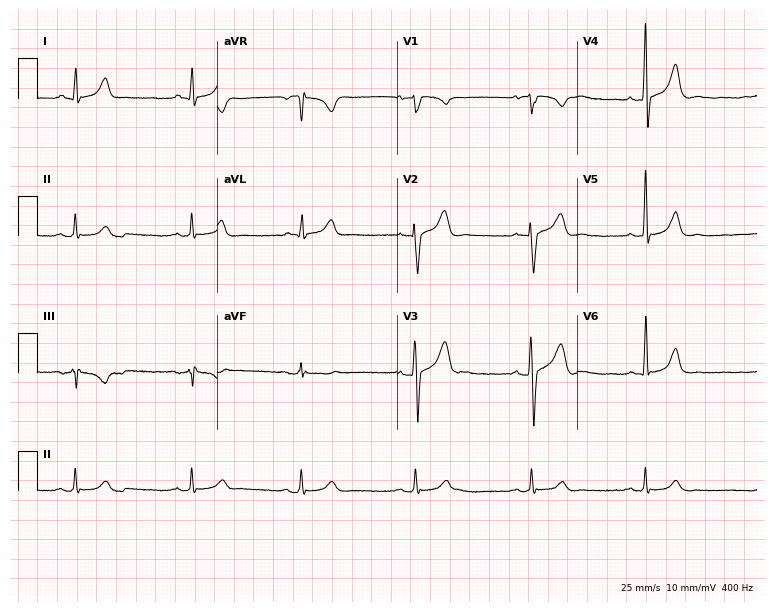
Resting 12-lead electrocardiogram (7.3-second recording at 400 Hz). Patient: a male, 38 years old. None of these six findings is recorded: first-degree AV block, right bundle branch block, left bundle branch block, sinus bradycardia, atrial fibrillation, sinus tachycardia. Findings outside these six are not listed.